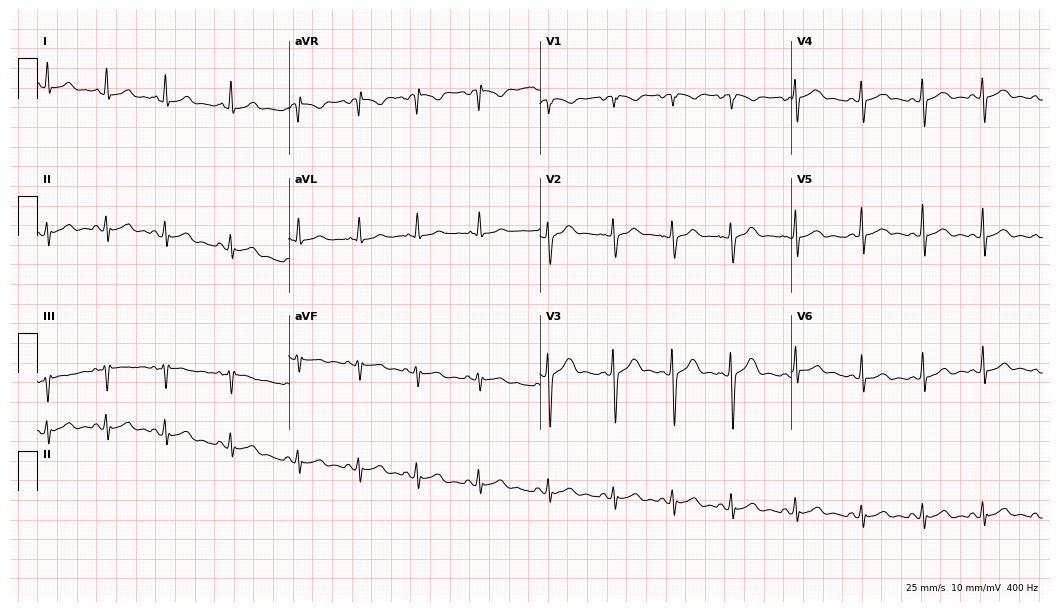
12-lead ECG from a 23-year-old female patient (10.2-second recording at 400 Hz). No first-degree AV block, right bundle branch block, left bundle branch block, sinus bradycardia, atrial fibrillation or sinus tachycardia recorded for this tracing. Other findings, if any, are not listed.